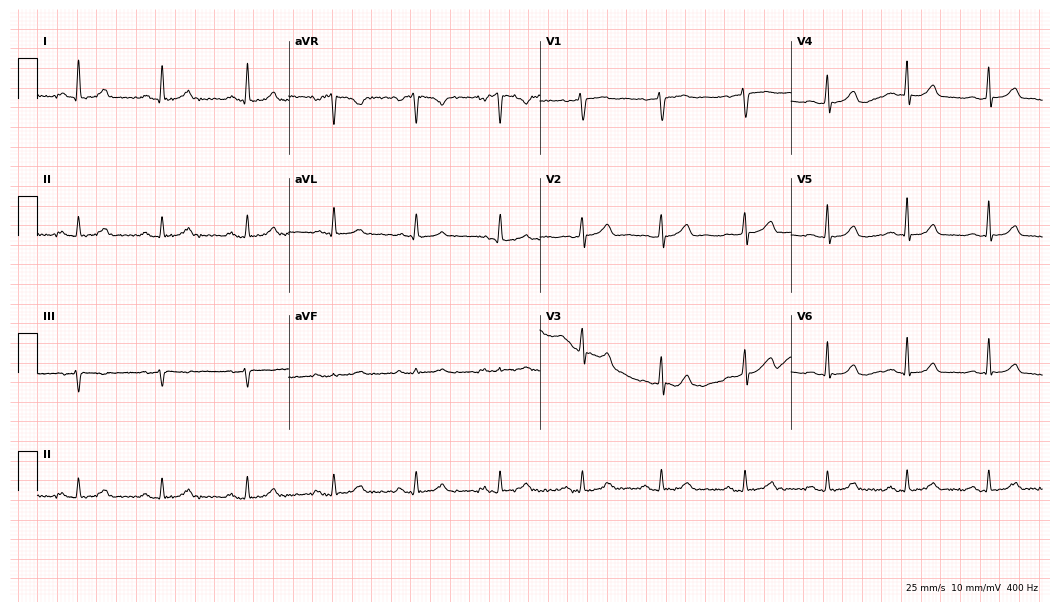
Standard 12-lead ECG recorded from a 43-year-old woman (10.2-second recording at 400 Hz). None of these six findings is recorded: first-degree AV block, right bundle branch block, left bundle branch block, sinus bradycardia, atrial fibrillation, sinus tachycardia.